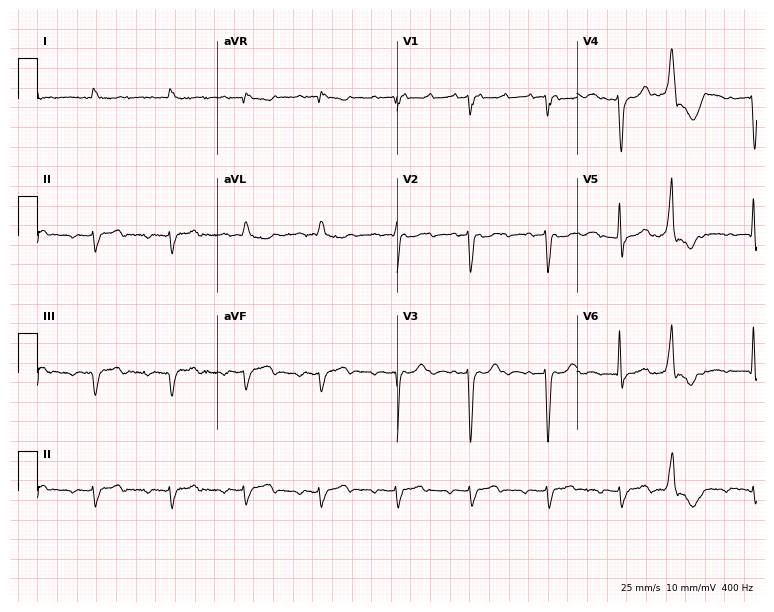
Electrocardiogram (7.3-second recording at 400 Hz), a man aged 90 or older. Of the six screened findings (first-degree AV block, right bundle branch block, left bundle branch block, sinus bradycardia, atrial fibrillation, sinus tachycardia), none is recorded.